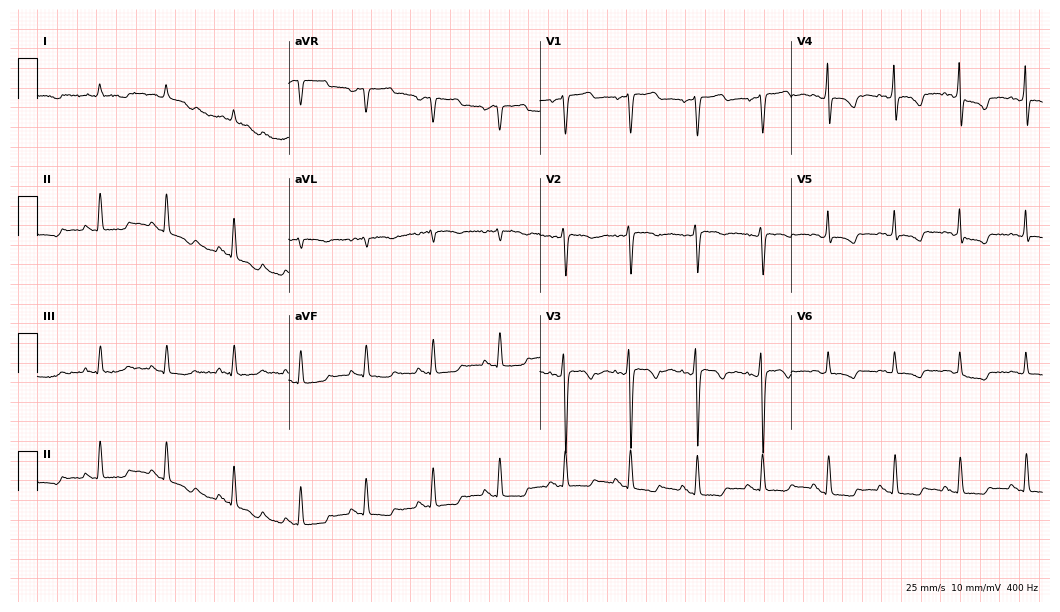
12-lead ECG from a 52-year-old woman. Screened for six findings — first-degree AV block, right bundle branch block, left bundle branch block, sinus bradycardia, atrial fibrillation, sinus tachycardia — none is recorded. Other findings, if any, are not listed.